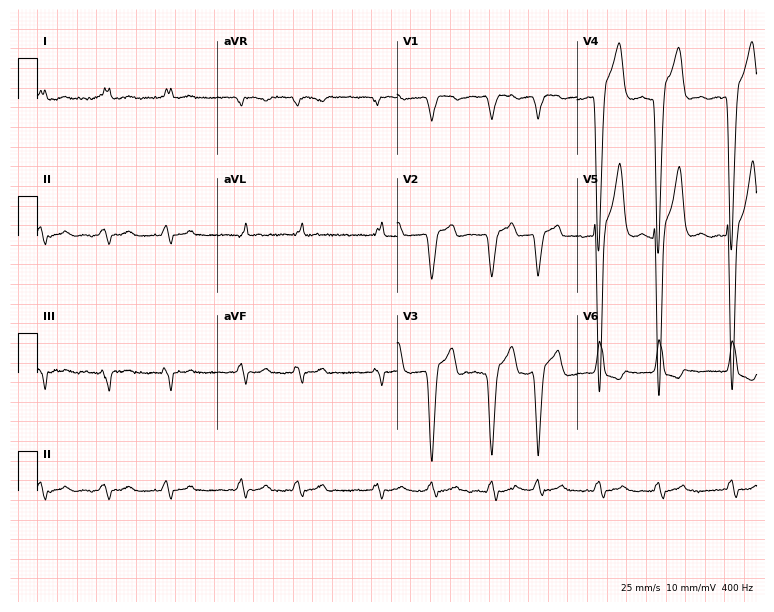
Electrocardiogram, a 75-year-old man. Interpretation includes left bundle branch block (LBBB), atrial fibrillation (AF).